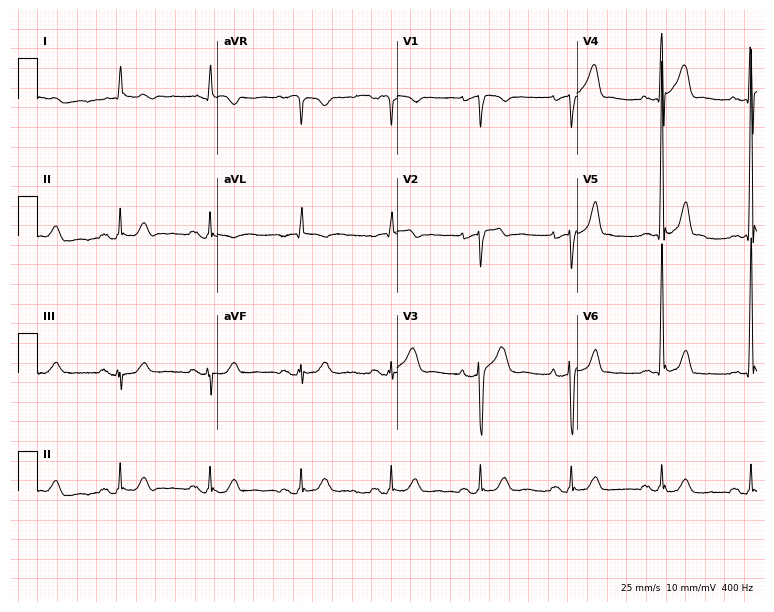
Electrocardiogram, a 76-year-old male. Of the six screened findings (first-degree AV block, right bundle branch block, left bundle branch block, sinus bradycardia, atrial fibrillation, sinus tachycardia), none is recorded.